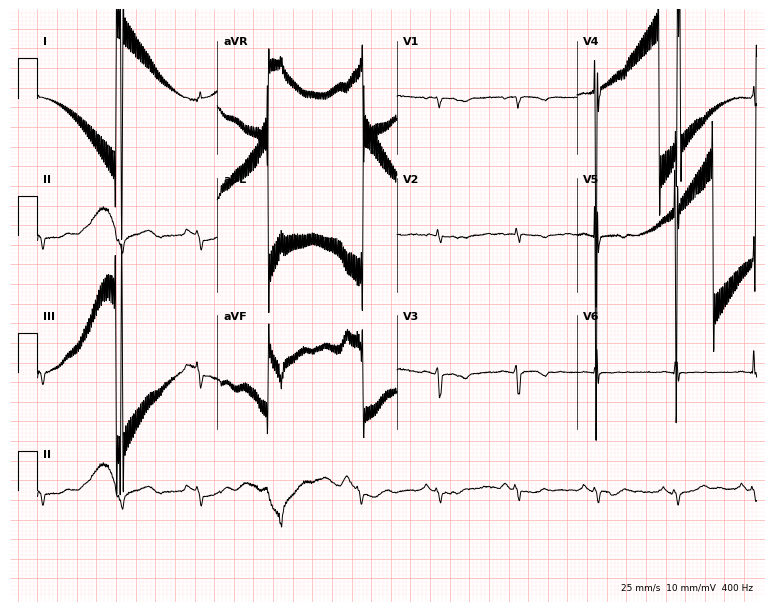
12-lead ECG from a 42-year-old female patient. No first-degree AV block, right bundle branch block, left bundle branch block, sinus bradycardia, atrial fibrillation or sinus tachycardia recorded for this tracing.